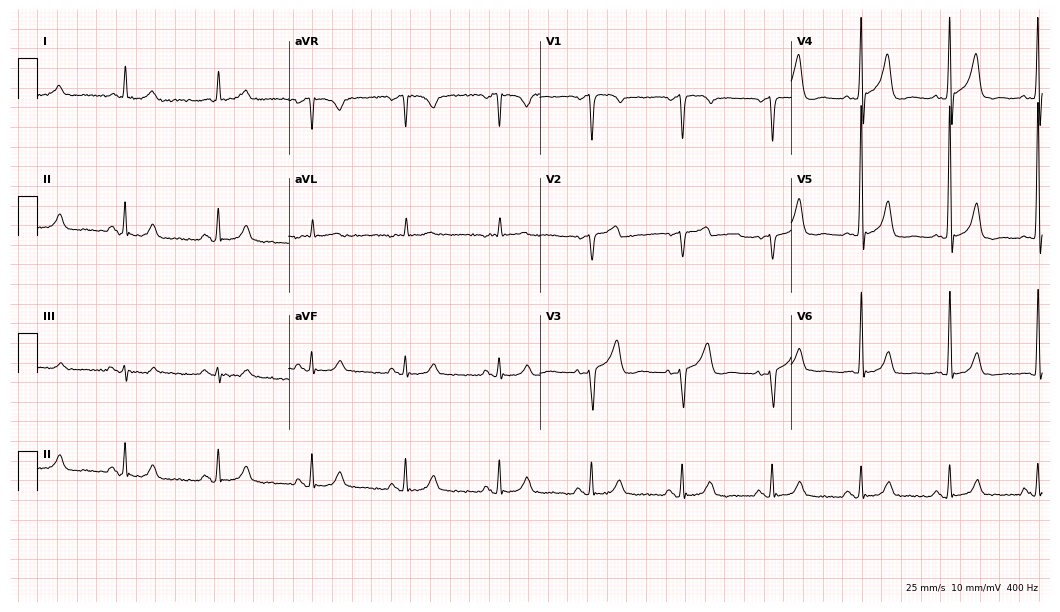
Resting 12-lead electrocardiogram (10.2-second recording at 400 Hz). Patient: a 79-year-old male. None of these six findings is recorded: first-degree AV block, right bundle branch block, left bundle branch block, sinus bradycardia, atrial fibrillation, sinus tachycardia.